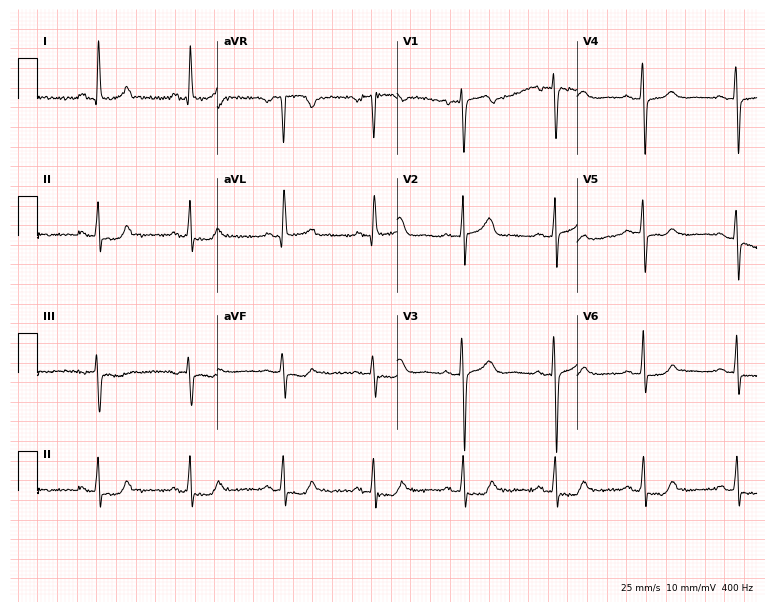
Standard 12-lead ECG recorded from a woman, 66 years old. None of these six findings is recorded: first-degree AV block, right bundle branch block (RBBB), left bundle branch block (LBBB), sinus bradycardia, atrial fibrillation (AF), sinus tachycardia.